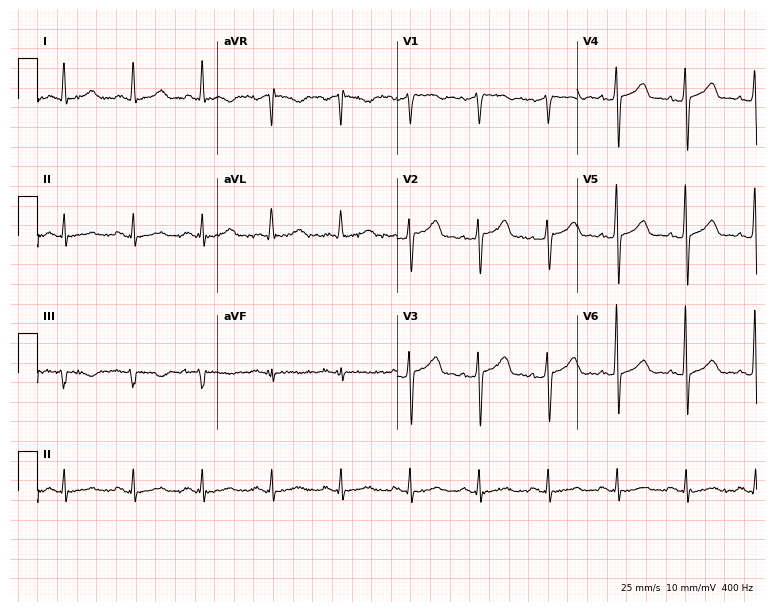
Electrocardiogram (7.3-second recording at 400 Hz), a 54-year-old man. Of the six screened findings (first-degree AV block, right bundle branch block, left bundle branch block, sinus bradycardia, atrial fibrillation, sinus tachycardia), none is recorded. Other findings, if any, are not listed.